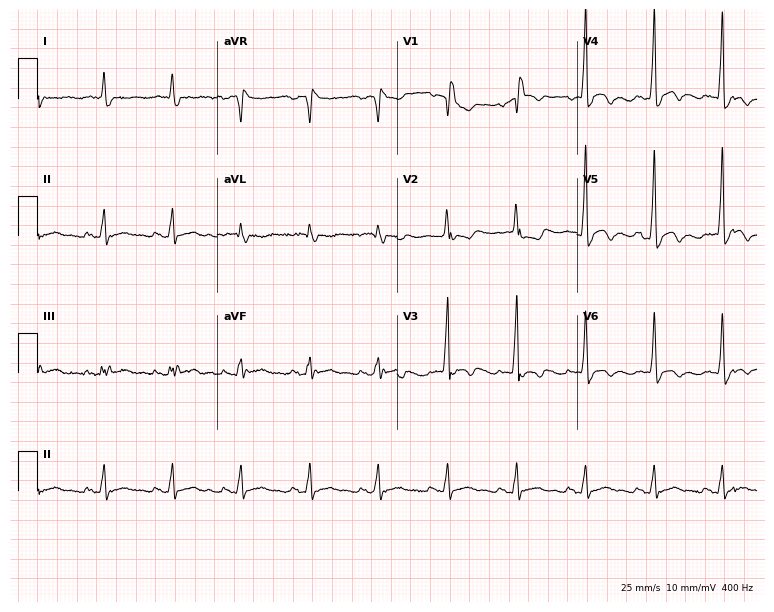
12-lead ECG from a 76-year-old male. Shows right bundle branch block (RBBB).